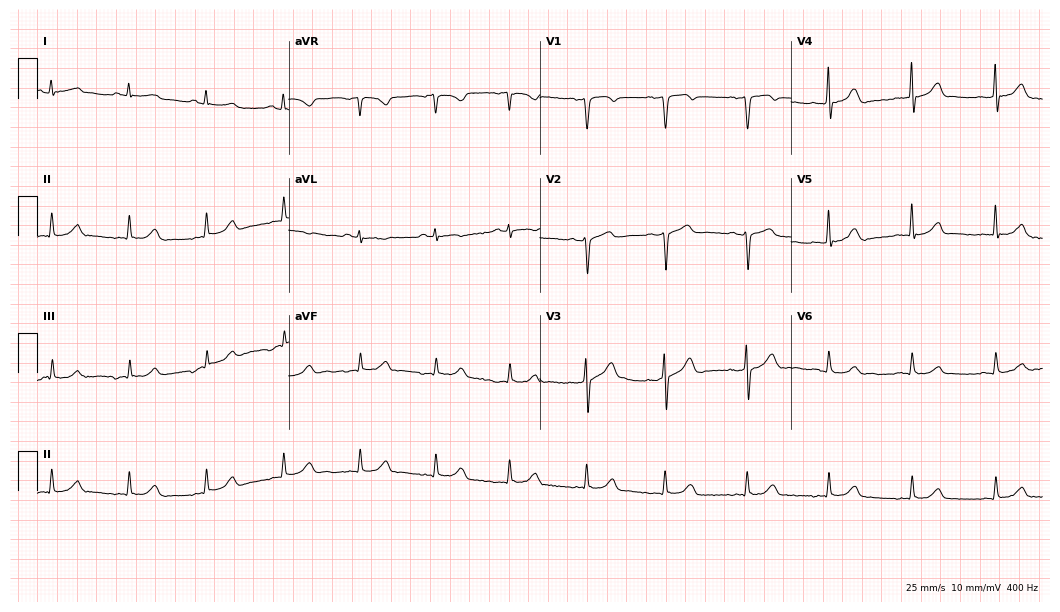
12-lead ECG from a 71-year-old male patient. Screened for six findings — first-degree AV block, right bundle branch block (RBBB), left bundle branch block (LBBB), sinus bradycardia, atrial fibrillation (AF), sinus tachycardia — none is recorded. Only these six findings were labelled.